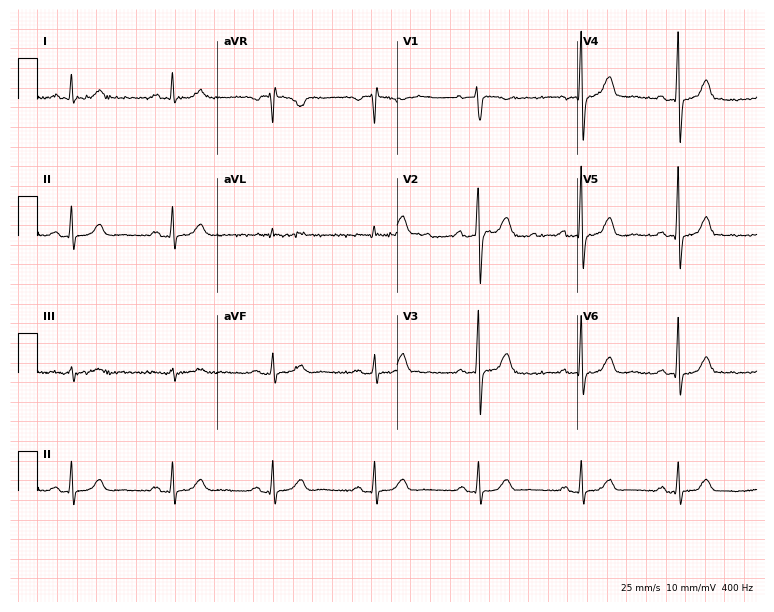
ECG (7.3-second recording at 400 Hz) — a 55-year-old female patient. Screened for six findings — first-degree AV block, right bundle branch block (RBBB), left bundle branch block (LBBB), sinus bradycardia, atrial fibrillation (AF), sinus tachycardia — none is recorded.